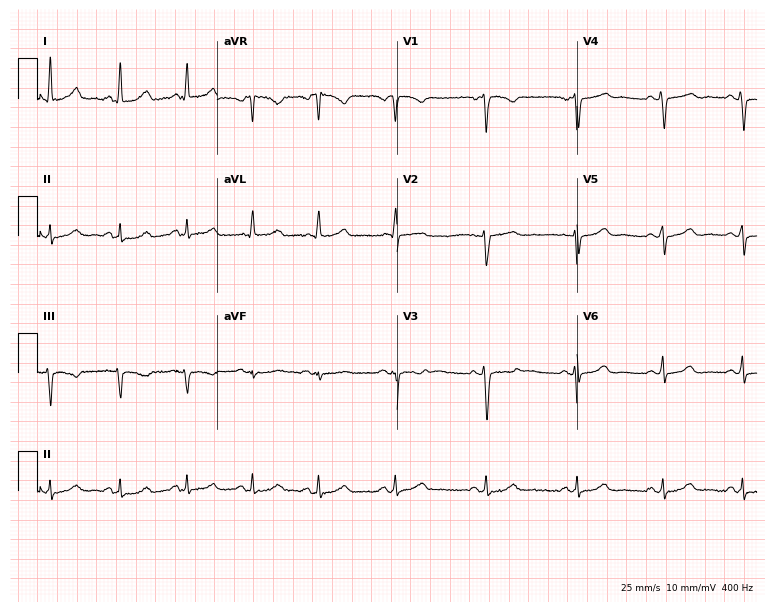
12-lead ECG from a female patient, 40 years old. No first-degree AV block, right bundle branch block, left bundle branch block, sinus bradycardia, atrial fibrillation or sinus tachycardia recorded for this tracing.